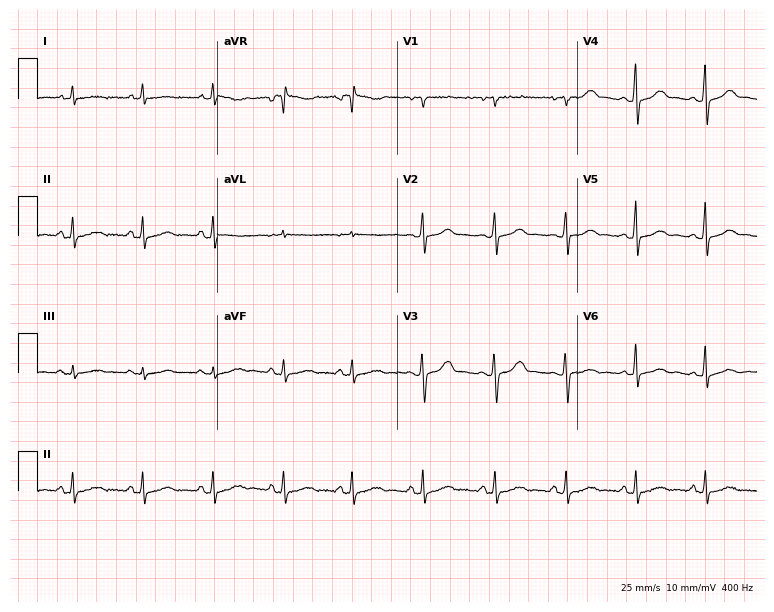
Resting 12-lead electrocardiogram (7.3-second recording at 400 Hz). Patient: a 38-year-old female. None of these six findings is recorded: first-degree AV block, right bundle branch block, left bundle branch block, sinus bradycardia, atrial fibrillation, sinus tachycardia. Other findings, if any, are not listed.